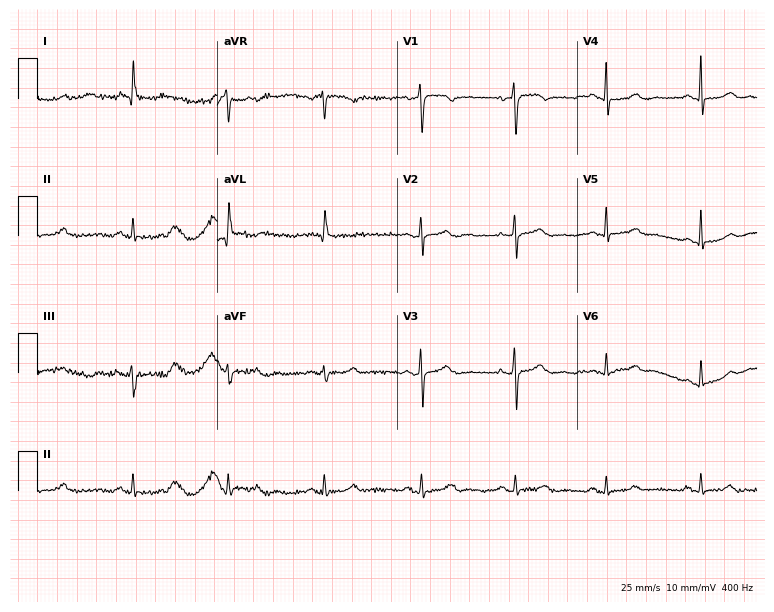
Standard 12-lead ECG recorded from a 79-year-old woman (7.3-second recording at 400 Hz). Read as a normal ECG.